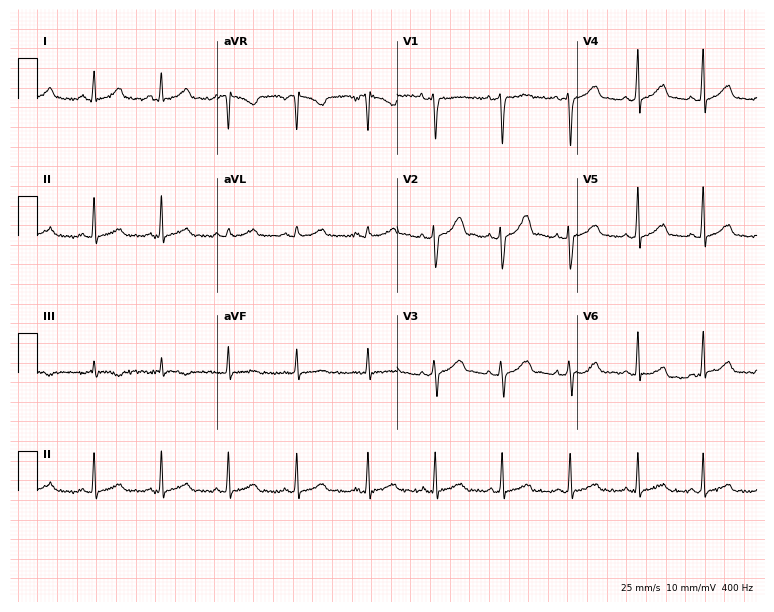
ECG — a woman, 28 years old. Labelled as a normal ECG.